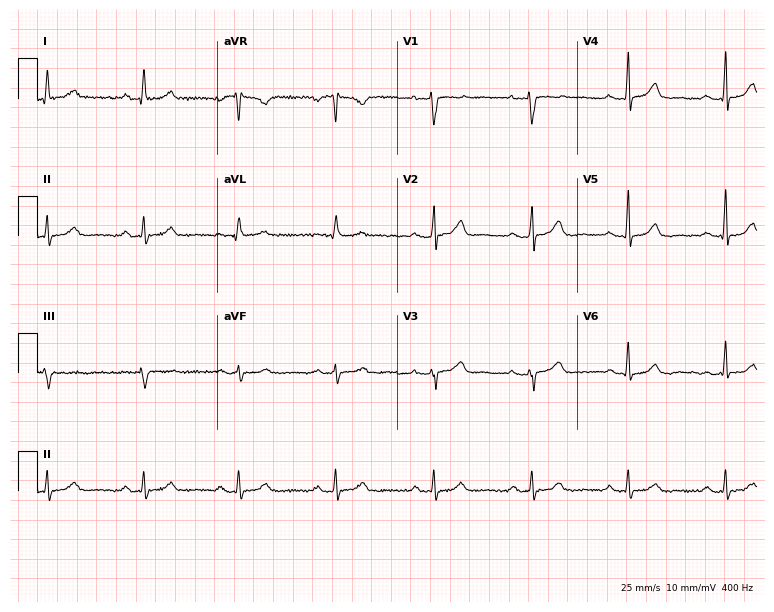
12-lead ECG from a 50-year-old woman. Recorded interpretation: within normal limits.